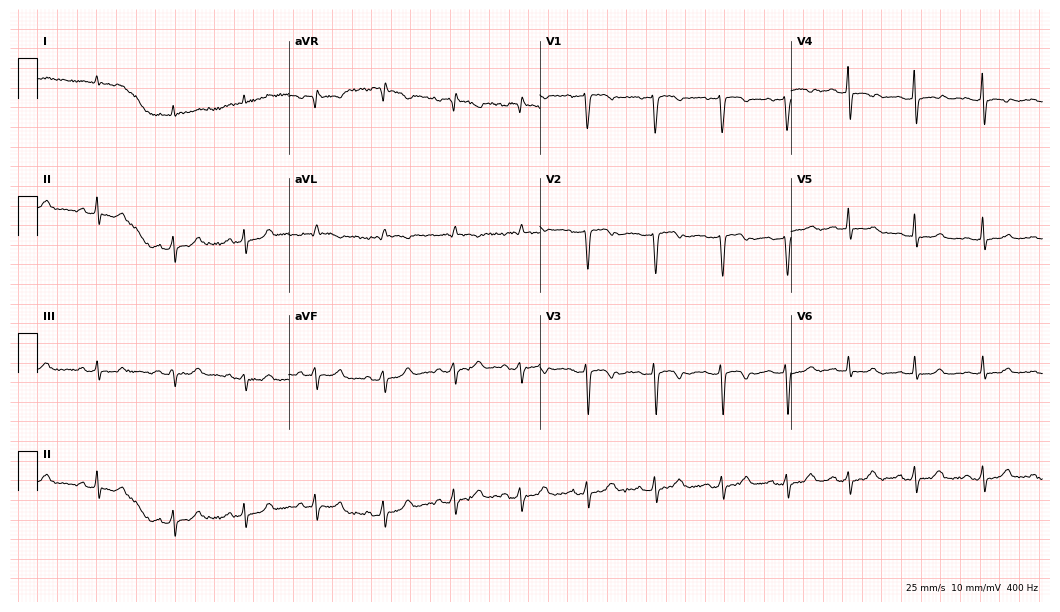
12-lead ECG from a 58-year-old female patient. Screened for six findings — first-degree AV block, right bundle branch block, left bundle branch block, sinus bradycardia, atrial fibrillation, sinus tachycardia — none is recorded.